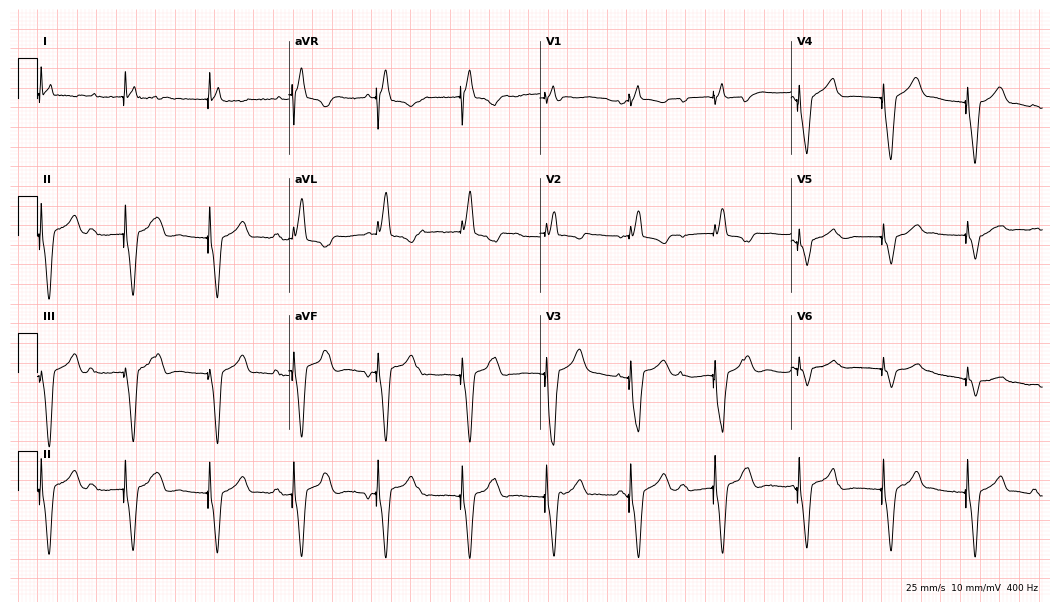
12-lead ECG from a man, 86 years old. No first-degree AV block, right bundle branch block, left bundle branch block, sinus bradycardia, atrial fibrillation or sinus tachycardia recorded for this tracing.